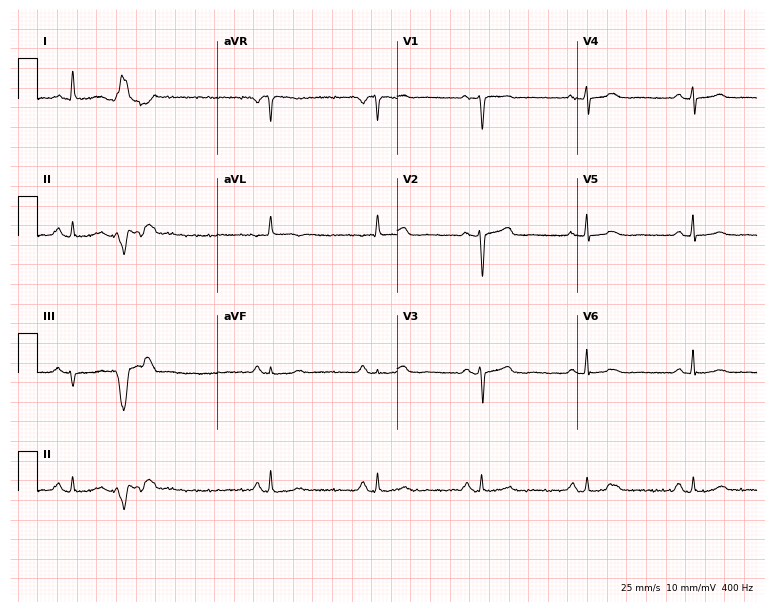
12-lead ECG (7.3-second recording at 400 Hz) from a female, 70 years old. Labelled as a normal ECG.